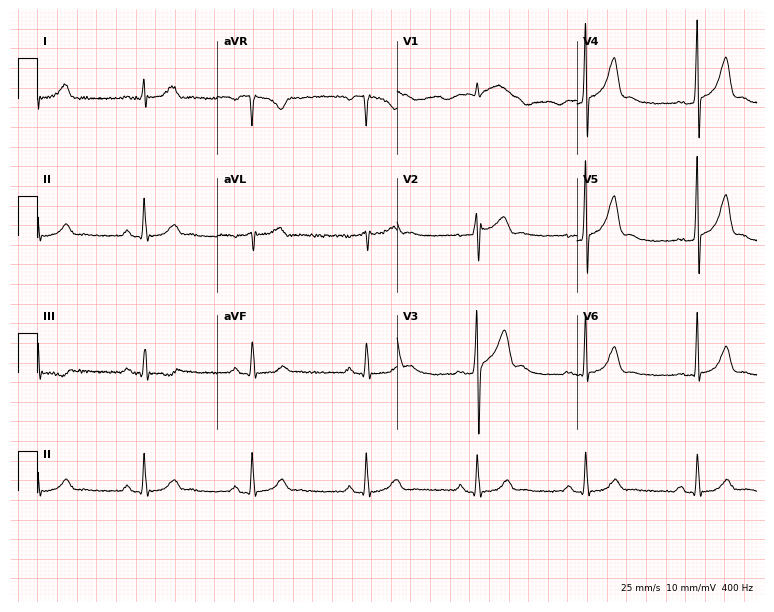
12-lead ECG from a male patient, 34 years old. No first-degree AV block, right bundle branch block, left bundle branch block, sinus bradycardia, atrial fibrillation or sinus tachycardia recorded for this tracing.